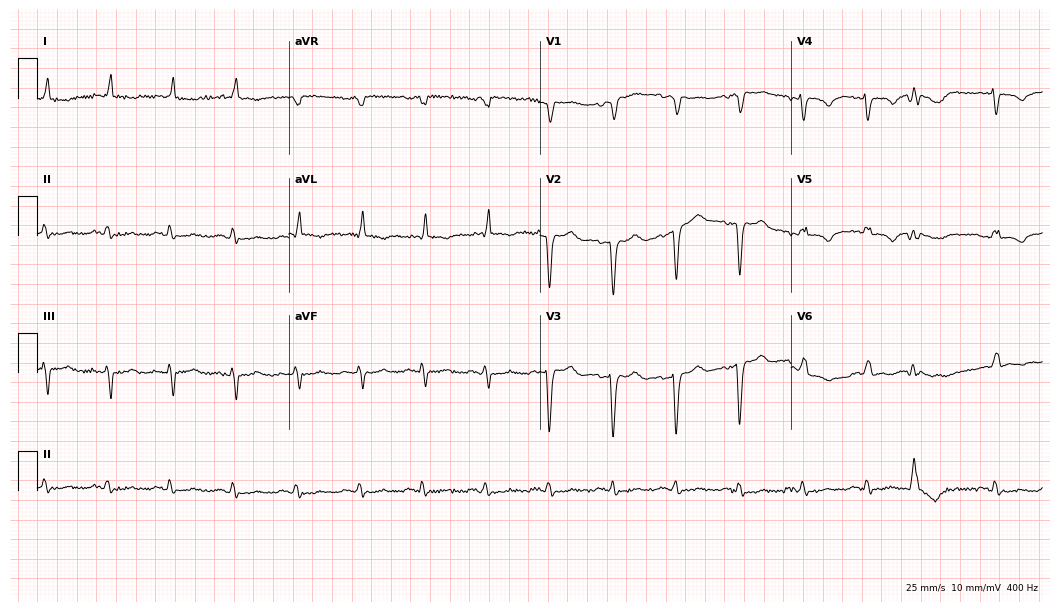
ECG — a female patient, 77 years old. Screened for six findings — first-degree AV block, right bundle branch block (RBBB), left bundle branch block (LBBB), sinus bradycardia, atrial fibrillation (AF), sinus tachycardia — none is recorded. Other findings, if any, are not listed.